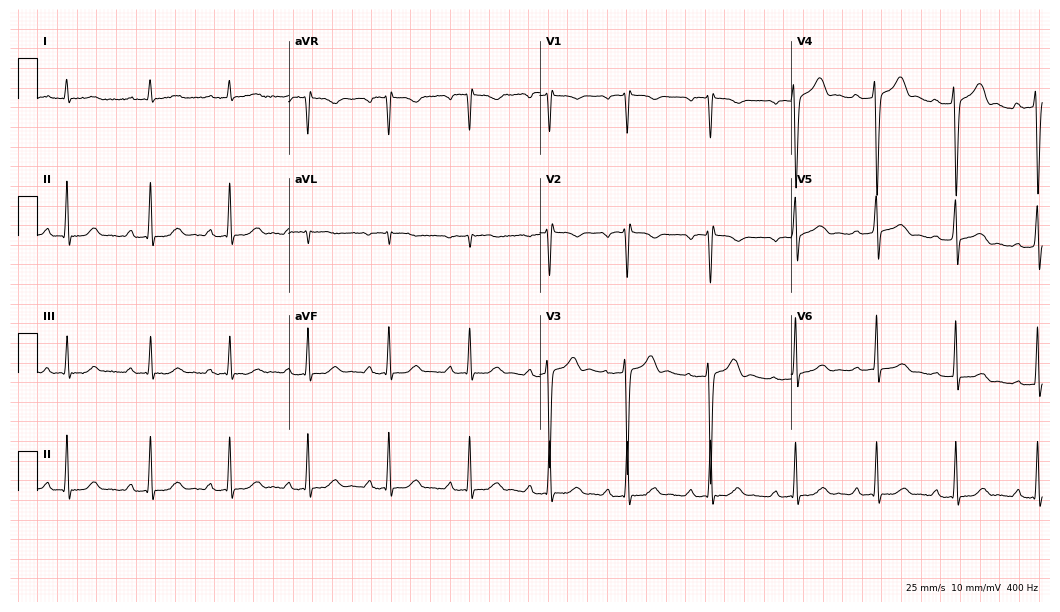
ECG (10.2-second recording at 400 Hz) — a 39-year-old man. Screened for six findings — first-degree AV block, right bundle branch block, left bundle branch block, sinus bradycardia, atrial fibrillation, sinus tachycardia — none is recorded.